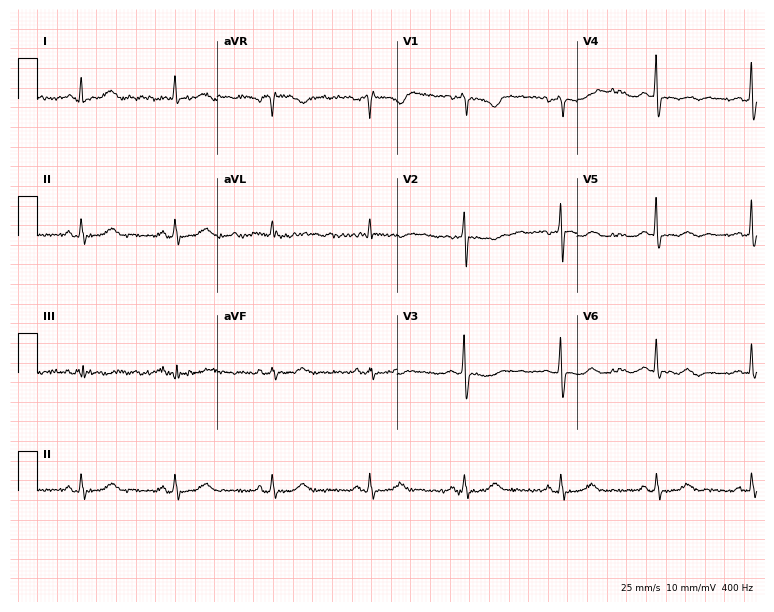
Resting 12-lead electrocardiogram (7.3-second recording at 400 Hz). Patient: a 75-year-old female. None of these six findings is recorded: first-degree AV block, right bundle branch block, left bundle branch block, sinus bradycardia, atrial fibrillation, sinus tachycardia.